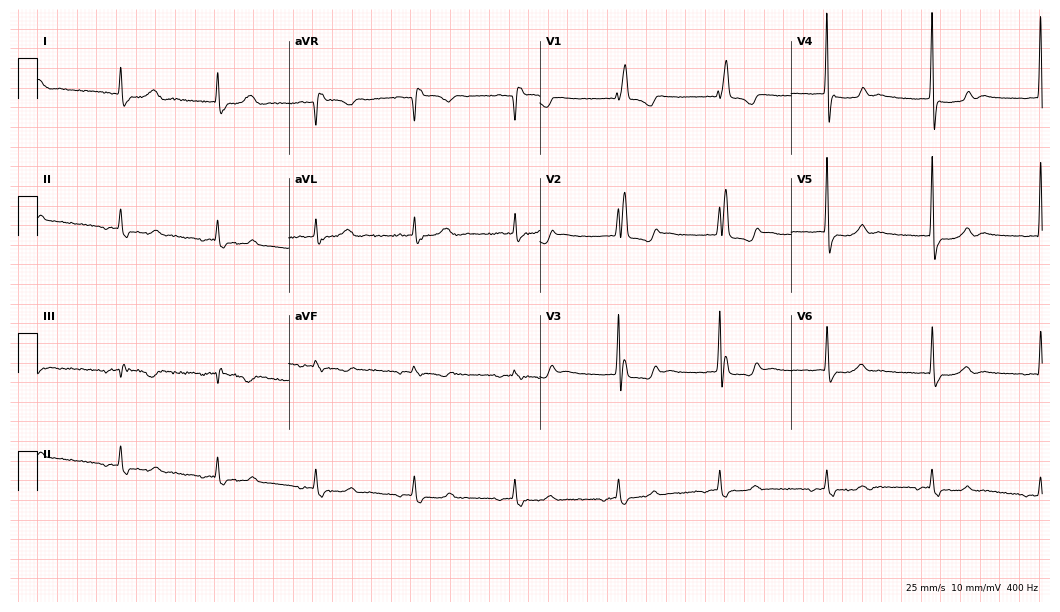
ECG (10.2-second recording at 400 Hz) — a woman, 67 years old. Findings include right bundle branch block.